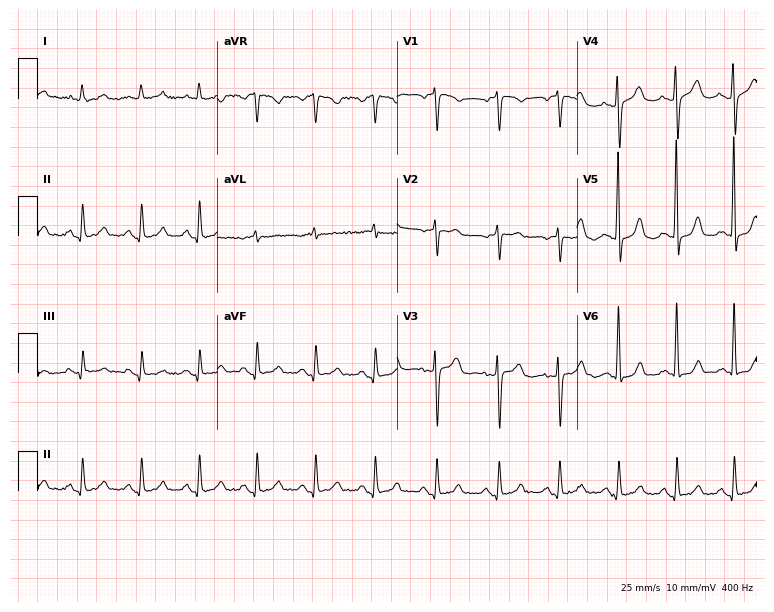
ECG — a female patient, 70 years old. Screened for six findings — first-degree AV block, right bundle branch block, left bundle branch block, sinus bradycardia, atrial fibrillation, sinus tachycardia — none is recorded.